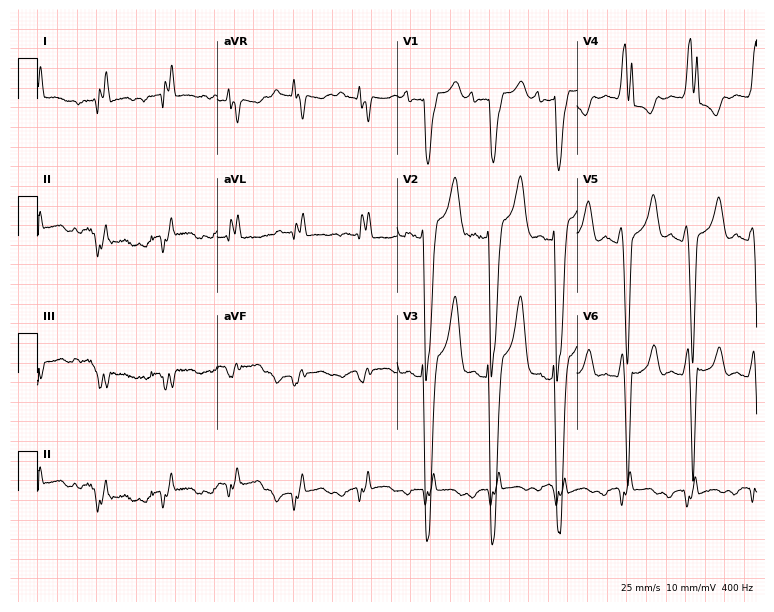
Resting 12-lead electrocardiogram (7.3-second recording at 400 Hz). Patient: a 59-year-old female. The tracing shows left bundle branch block (LBBB).